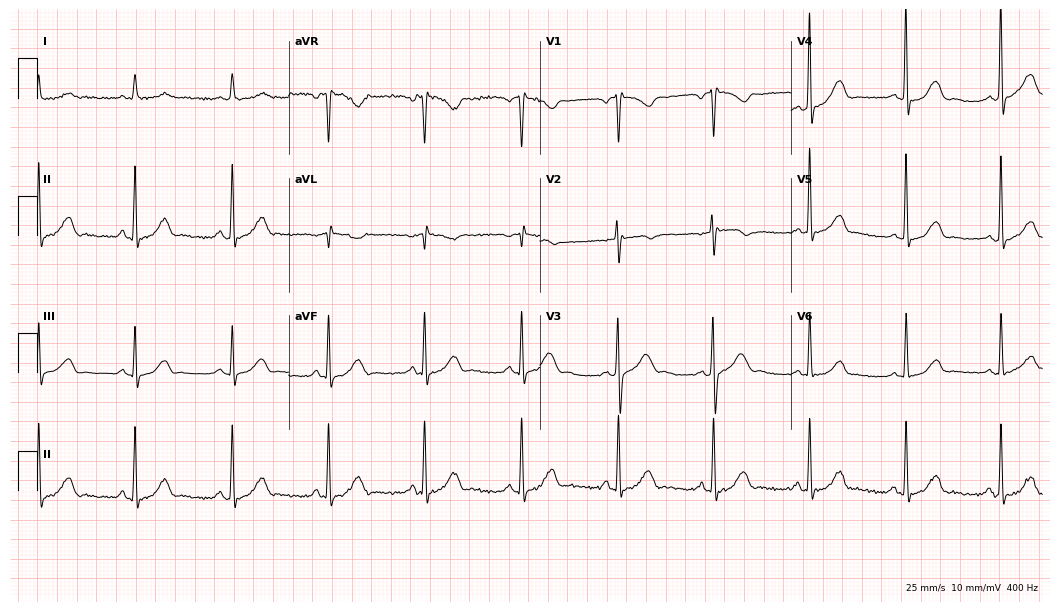
12-lead ECG from a female patient, 81 years old. Recorded interpretation: within normal limits.